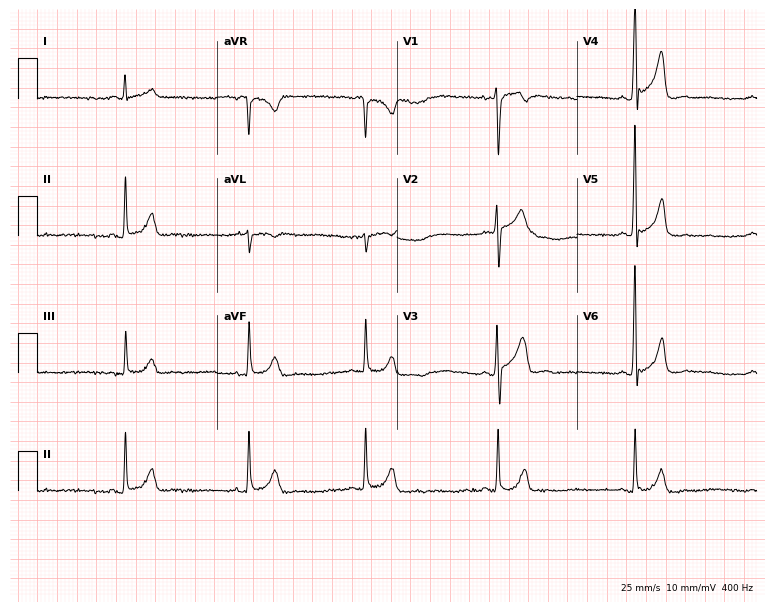
12-lead ECG (7.3-second recording at 400 Hz) from a 44-year-old man. Findings include sinus bradycardia (a sinus rate of 50 beats per minute or less).